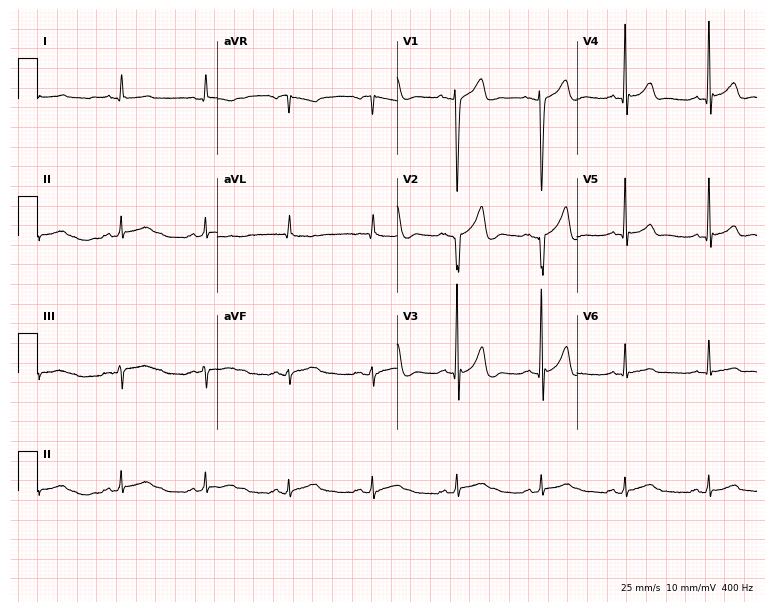
Resting 12-lead electrocardiogram. Patient: a man, 46 years old. None of these six findings is recorded: first-degree AV block, right bundle branch block, left bundle branch block, sinus bradycardia, atrial fibrillation, sinus tachycardia.